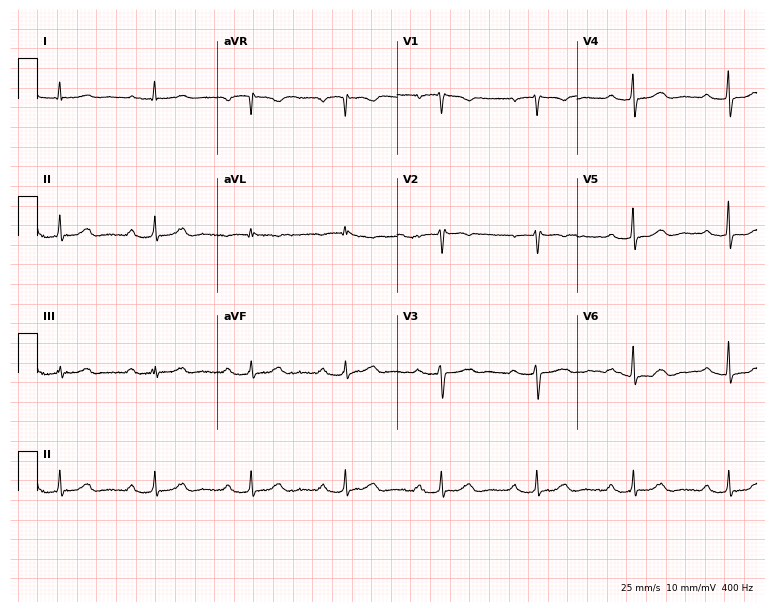
Standard 12-lead ECG recorded from a 60-year-old female. The tracing shows first-degree AV block.